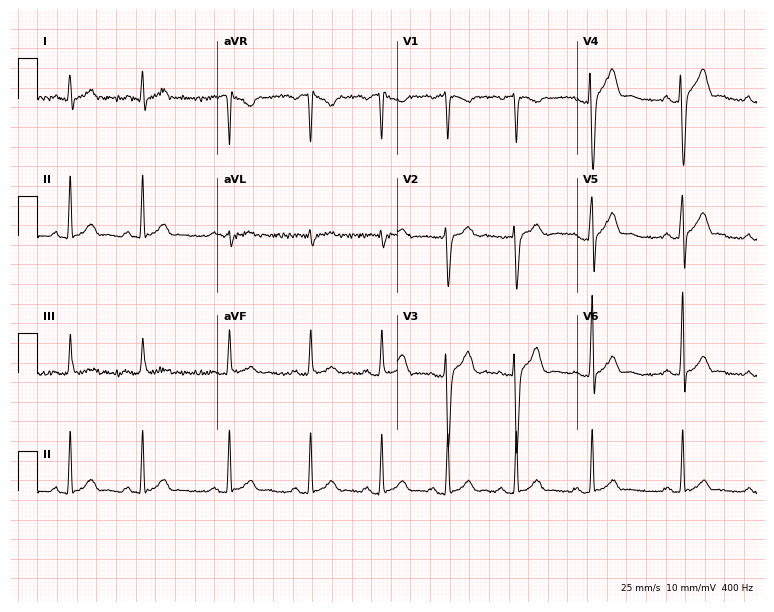
ECG — a 21-year-old male. Labelled as a normal ECG.